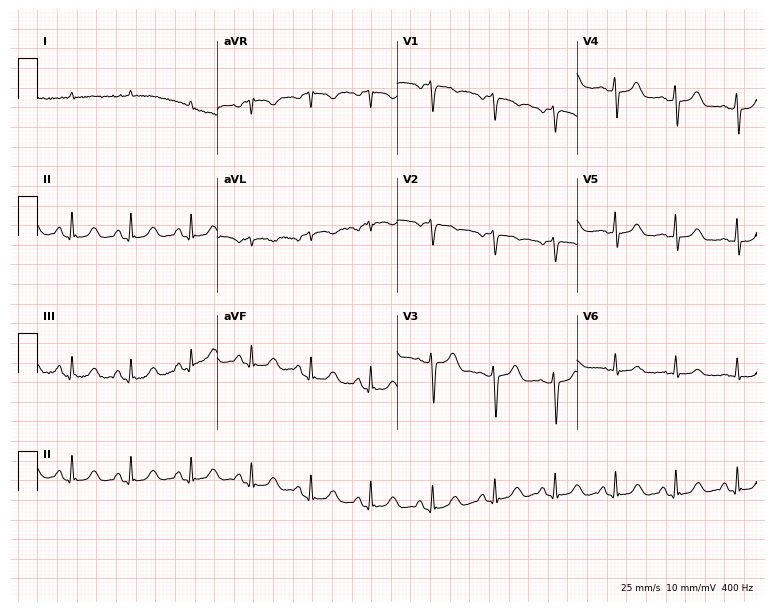
Standard 12-lead ECG recorded from a male, 65 years old. None of these six findings is recorded: first-degree AV block, right bundle branch block, left bundle branch block, sinus bradycardia, atrial fibrillation, sinus tachycardia. Only these six findings were labelled.